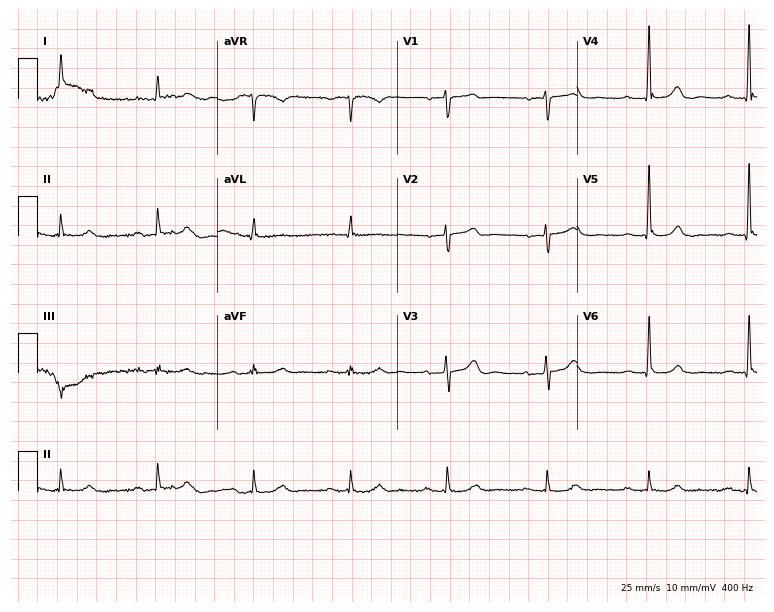
12-lead ECG from a female, 79 years old (7.3-second recording at 400 Hz). Shows first-degree AV block.